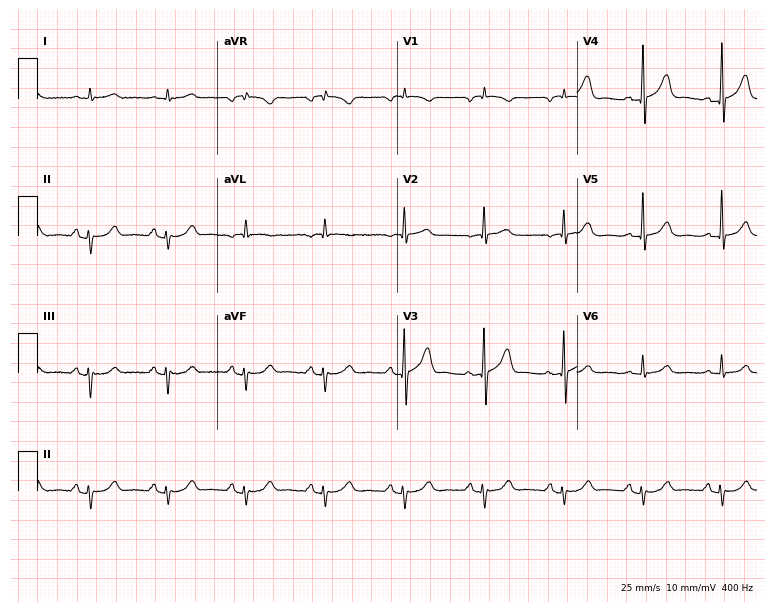
Standard 12-lead ECG recorded from a 68-year-old man (7.3-second recording at 400 Hz). None of these six findings is recorded: first-degree AV block, right bundle branch block, left bundle branch block, sinus bradycardia, atrial fibrillation, sinus tachycardia. Findings outside these six are not listed.